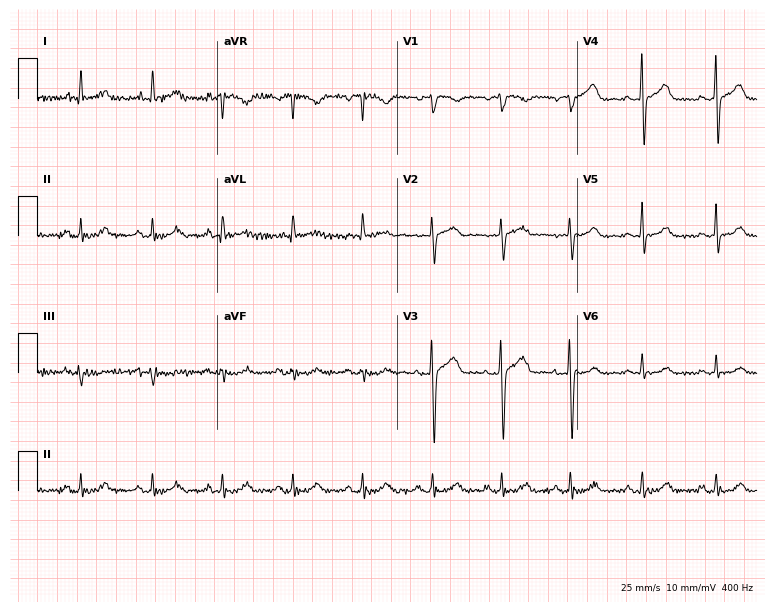
ECG — a woman, 59 years old. Labelled as a normal ECG.